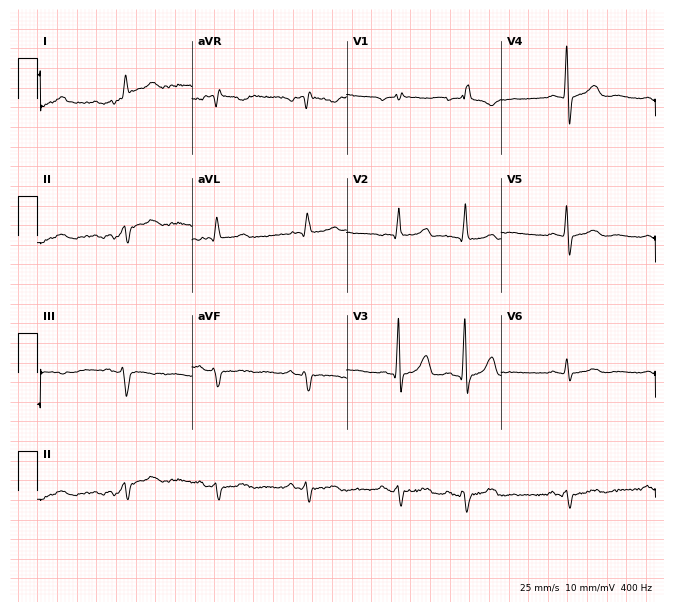
12-lead ECG (6.3-second recording at 400 Hz) from a male patient, 83 years old. Screened for six findings — first-degree AV block, right bundle branch block (RBBB), left bundle branch block (LBBB), sinus bradycardia, atrial fibrillation (AF), sinus tachycardia — none is recorded.